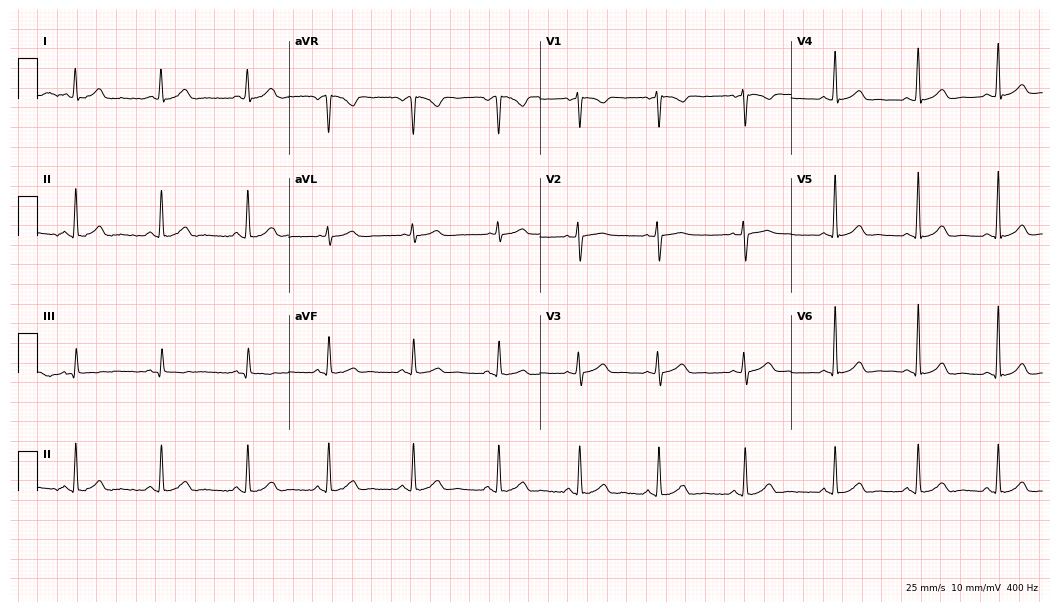
12-lead ECG from a 33-year-old woman. No first-degree AV block, right bundle branch block (RBBB), left bundle branch block (LBBB), sinus bradycardia, atrial fibrillation (AF) or sinus tachycardia recorded for this tracing. Only these six findings were labelled.